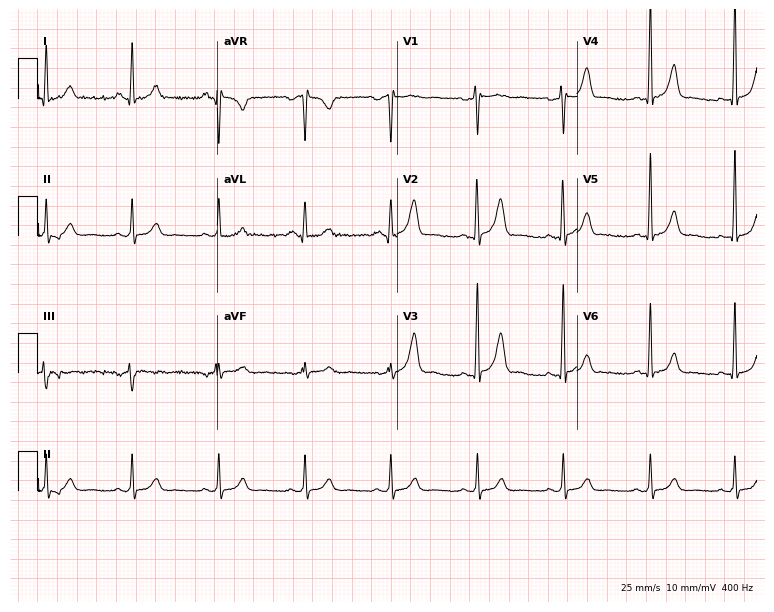
Standard 12-lead ECG recorded from a 28-year-old female patient (7.3-second recording at 400 Hz). Read as a normal ECG.